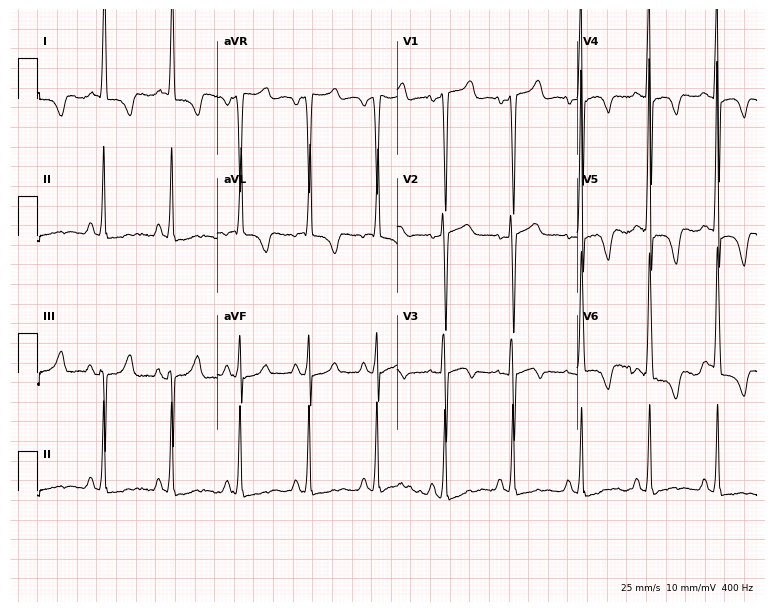
12-lead ECG from an 85-year-old female patient. Screened for six findings — first-degree AV block, right bundle branch block, left bundle branch block, sinus bradycardia, atrial fibrillation, sinus tachycardia — none is recorded.